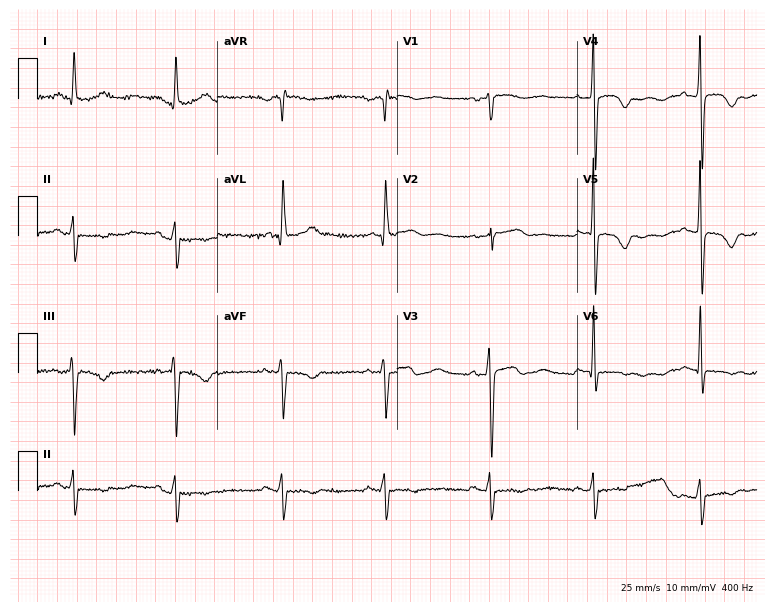
12-lead ECG (7.3-second recording at 400 Hz) from a 77-year-old male patient. Screened for six findings — first-degree AV block, right bundle branch block (RBBB), left bundle branch block (LBBB), sinus bradycardia, atrial fibrillation (AF), sinus tachycardia — none is recorded.